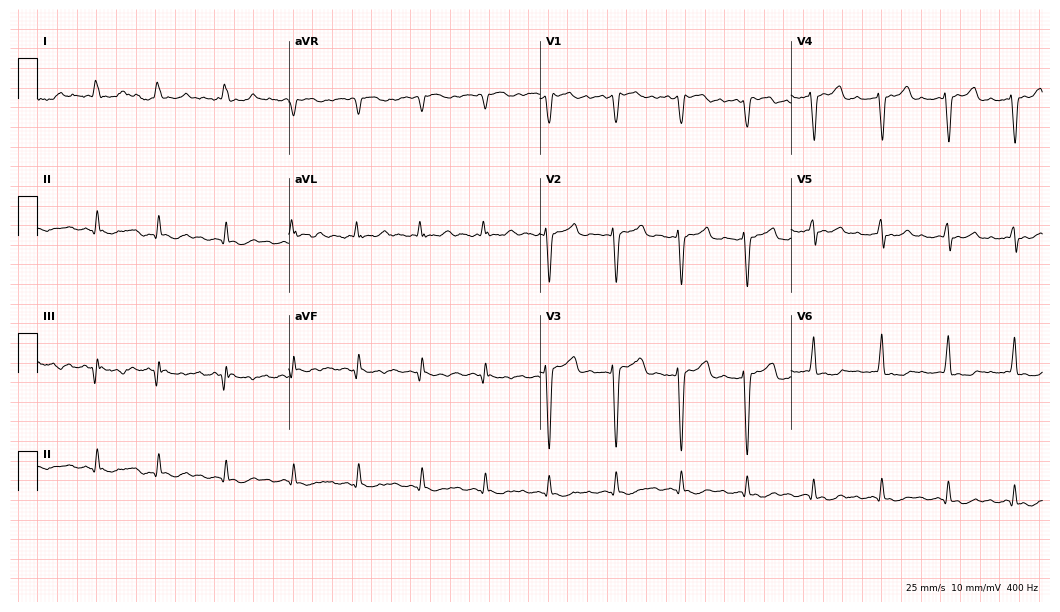
Standard 12-lead ECG recorded from a 73-year-old male (10.2-second recording at 400 Hz). None of these six findings is recorded: first-degree AV block, right bundle branch block, left bundle branch block, sinus bradycardia, atrial fibrillation, sinus tachycardia.